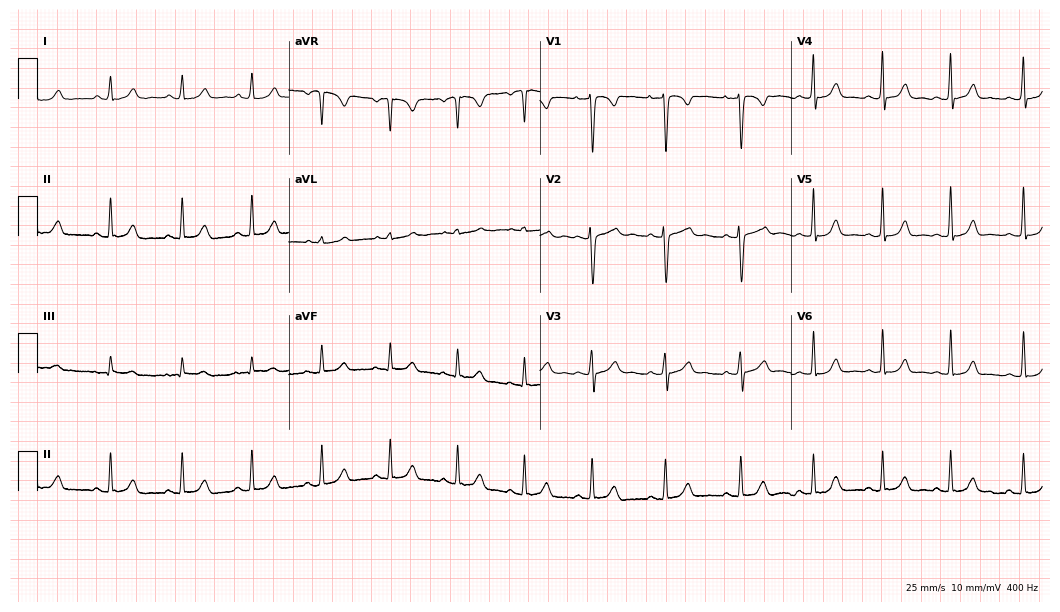
Standard 12-lead ECG recorded from a 17-year-old woman. Read as a normal ECG.